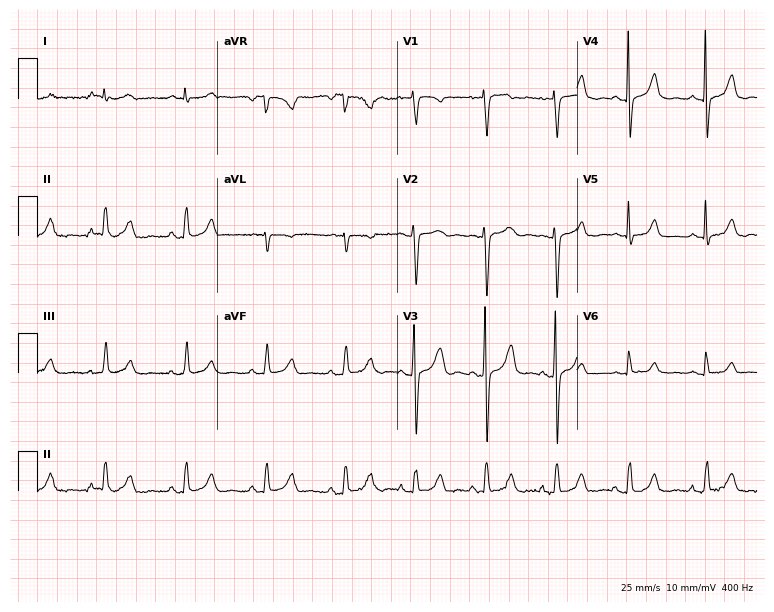
ECG — a female patient, 30 years old. Labelled as a normal ECG.